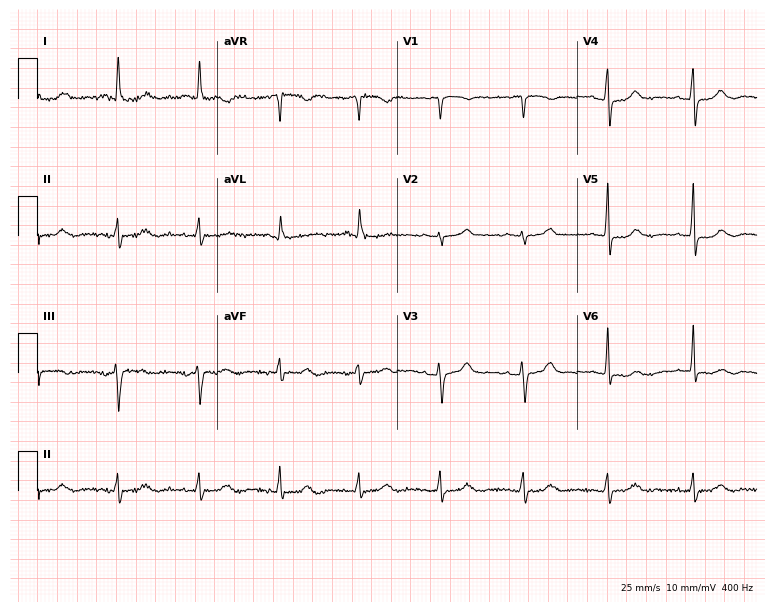
12-lead ECG from a woman, 81 years old. No first-degree AV block, right bundle branch block, left bundle branch block, sinus bradycardia, atrial fibrillation or sinus tachycardia recorded for this tracing.